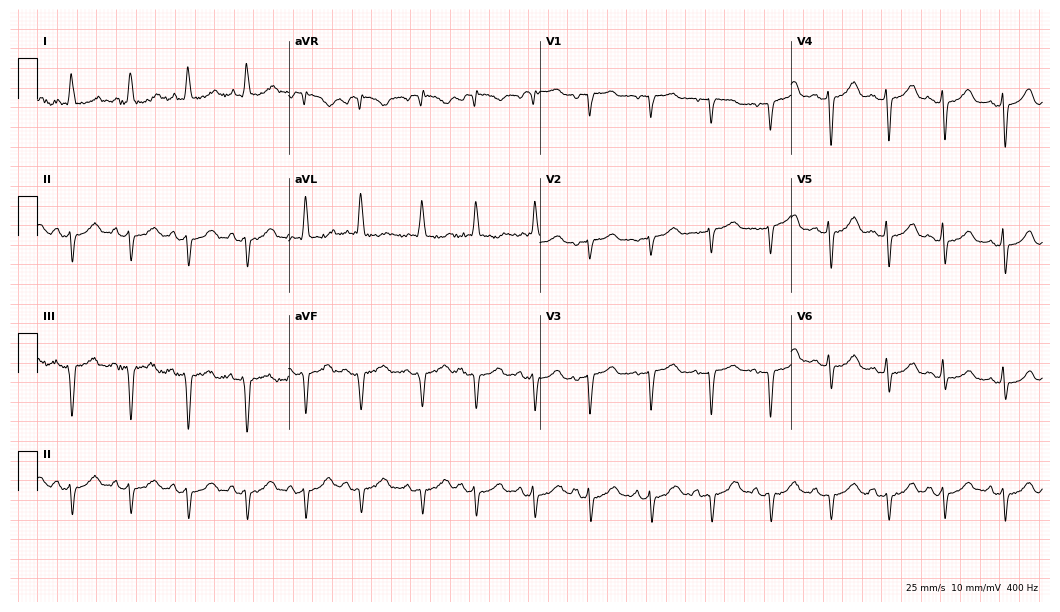
Electrocardiogram (10.2-second recording at 400 Hz), a 67-year-old female patient. Of the six screened findings (first-degree AV block, right bundle branch block, left bundle branch block, sinus bradycardia, atrial fibrillation, sinus tachycardia), none is recorded.